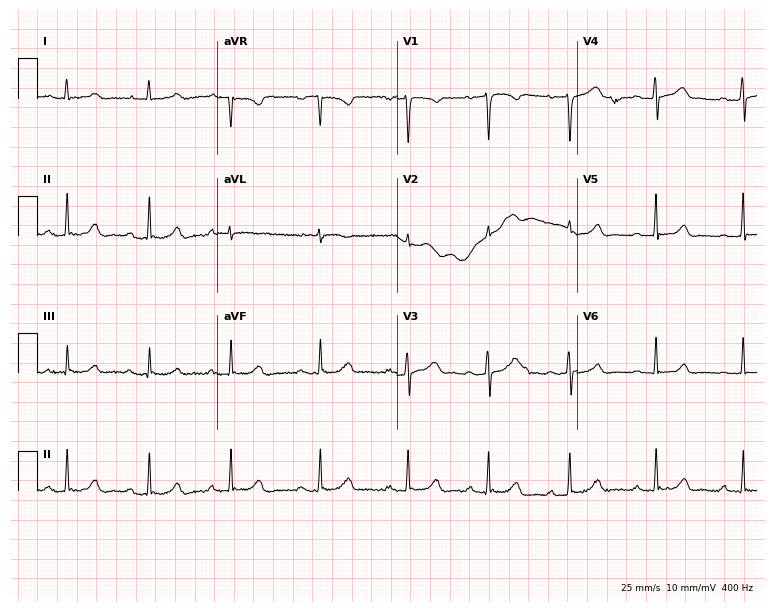
ECG (7.3-second recording at 400 Hz) — a 23-year-old female patient. Findings include first-degree AV block.